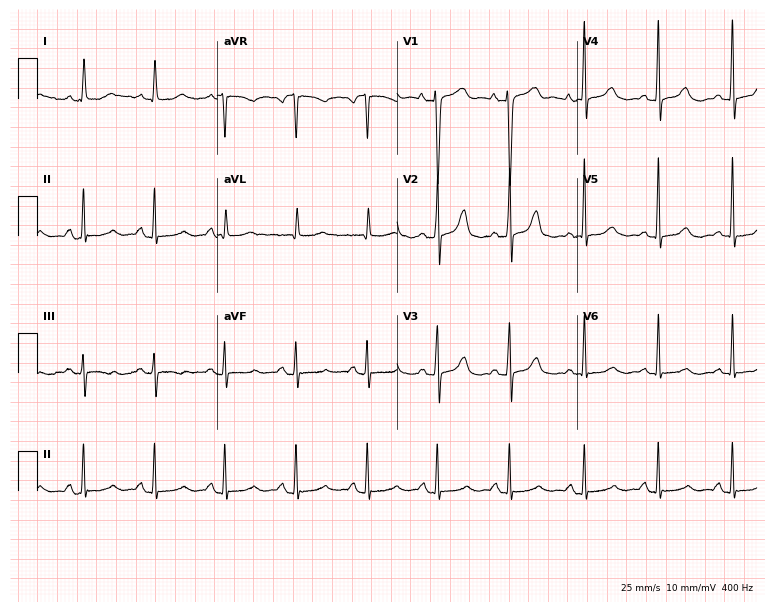
ECG (7.3-second recording at 400 Hz) — a female patient, 81 years old. Labelled as a normal ECG.